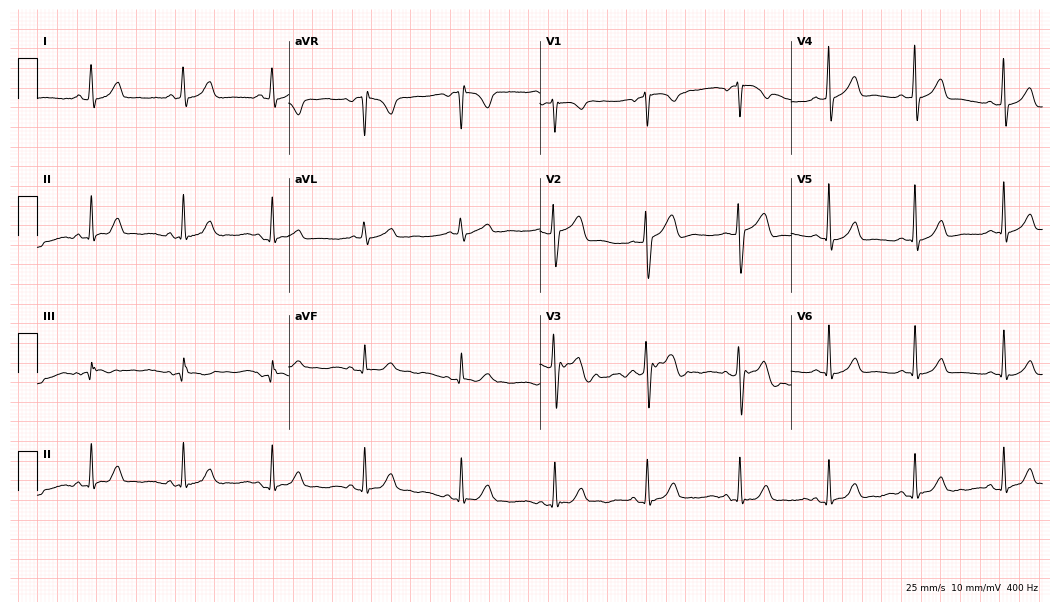
Resting 12-lead electrocardiogram. Patient: a male, 33 years old. Read as a normal ECG.